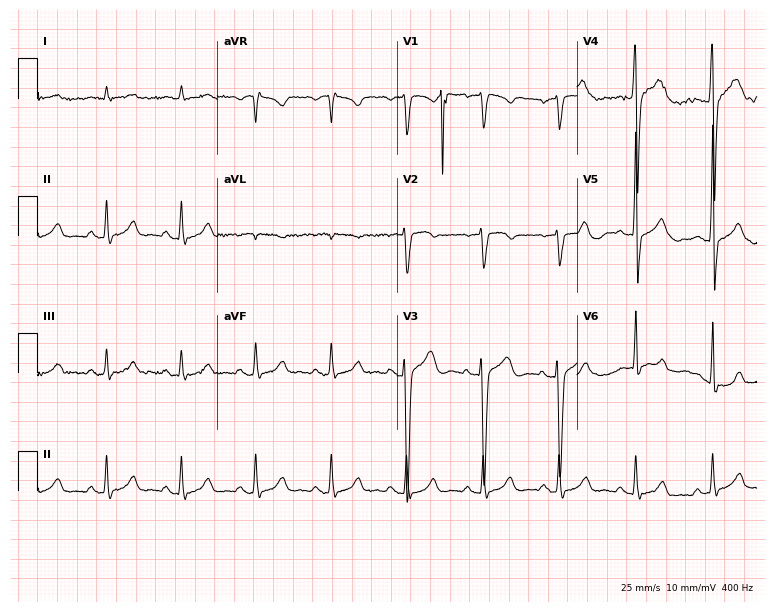
Electrocardiogram (7.3-second recording at 400 Hz), a man, 43 years old. Overall reading on record: normal ECG.